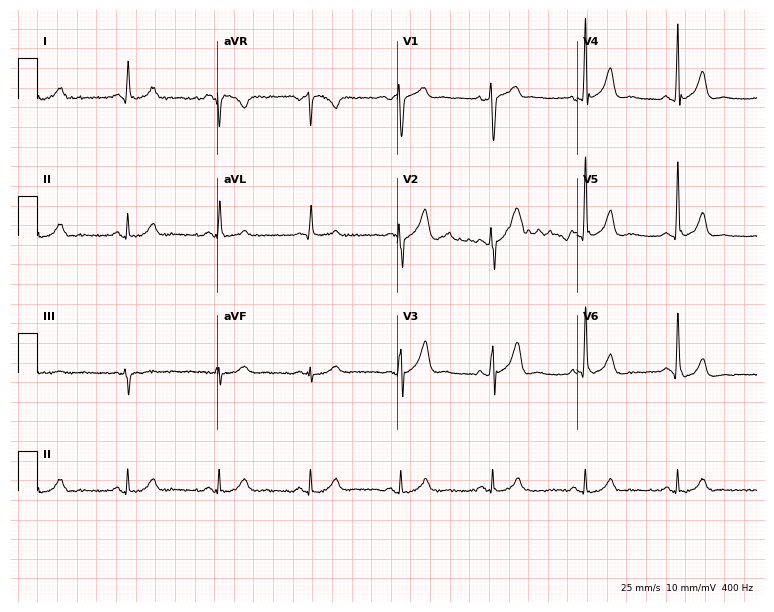
Electrocardiogram (7.3-second recording at 400 Hz), a man, 61 years old. Overall reading on record: normal ECG.